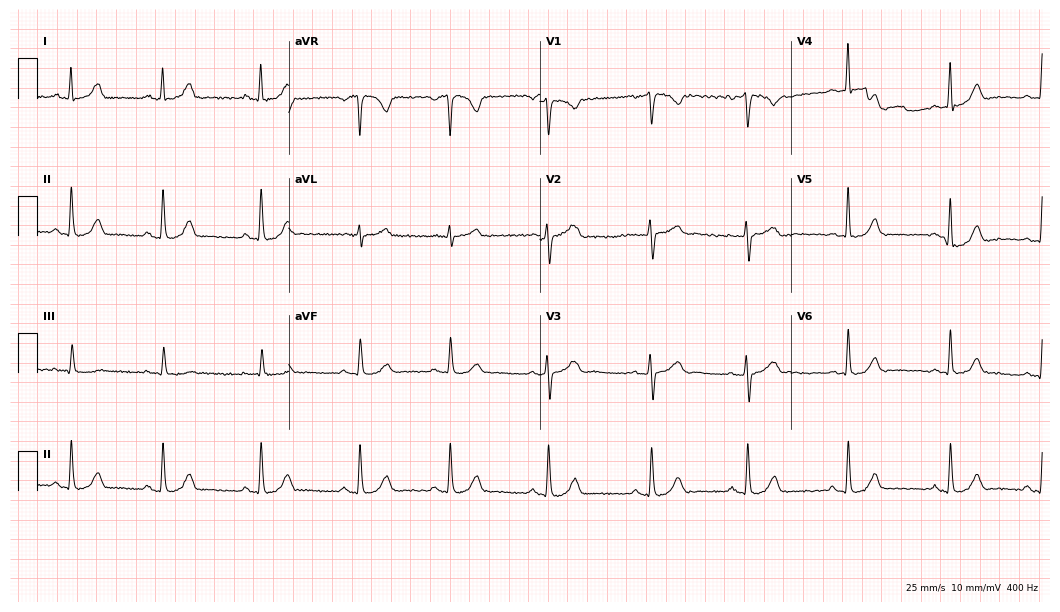
12-lead ECG from a 39-year-old woman (10.2-second recording at 400 Hz). Recorded interpretation: within normal limits.